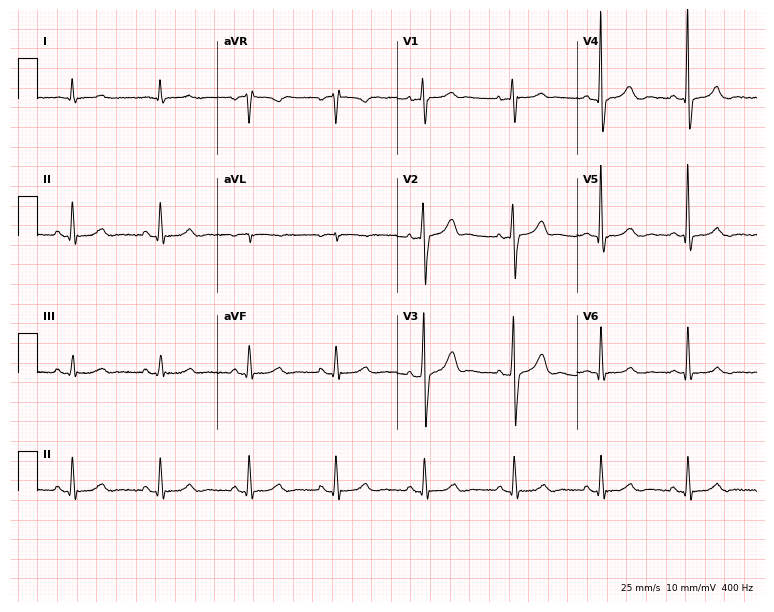
Resting 12-lead electrocardiogram (7.3-second recording at 400 Hz). Patient: a man, 68 years old. None of these six findings is recorded: first-degree AV block, right bundle branch block (RBBB), left bundle branch block (LBBB), sinus bradycardia, atrial fibrillation (AF), sinus tachycardia.